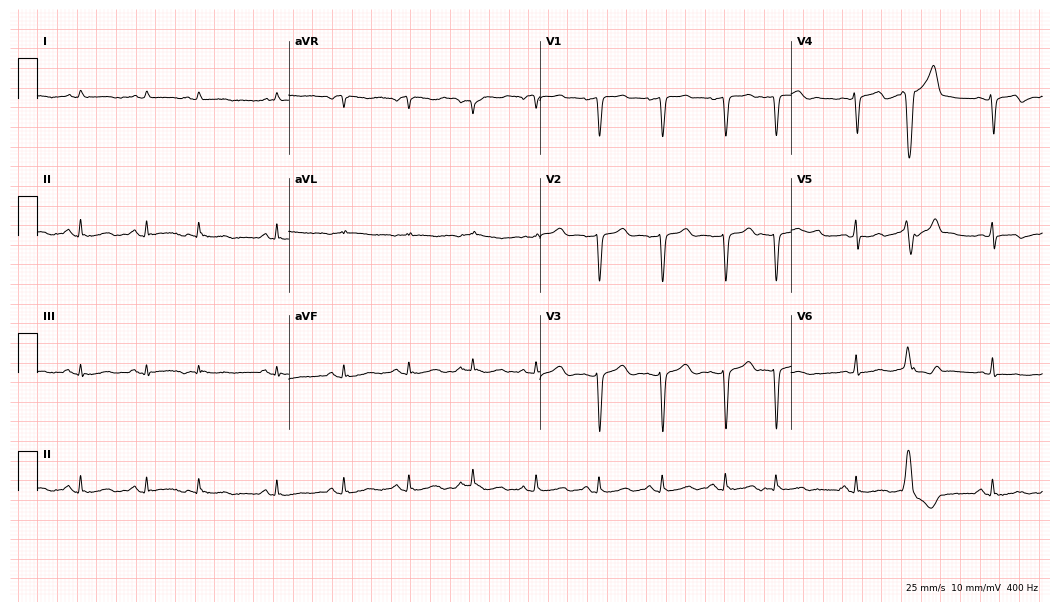
Electrocardiogram (10.2-second recording at 400 Hz), a 68-year-old male patient. Of the six screened findings (first-degree AV block, right bundle branch block (RBBB), left bundle branch block (LBBB), sinus bradycardia, atrial fibrillation (AF), sinus tachycardia), none is recorded.